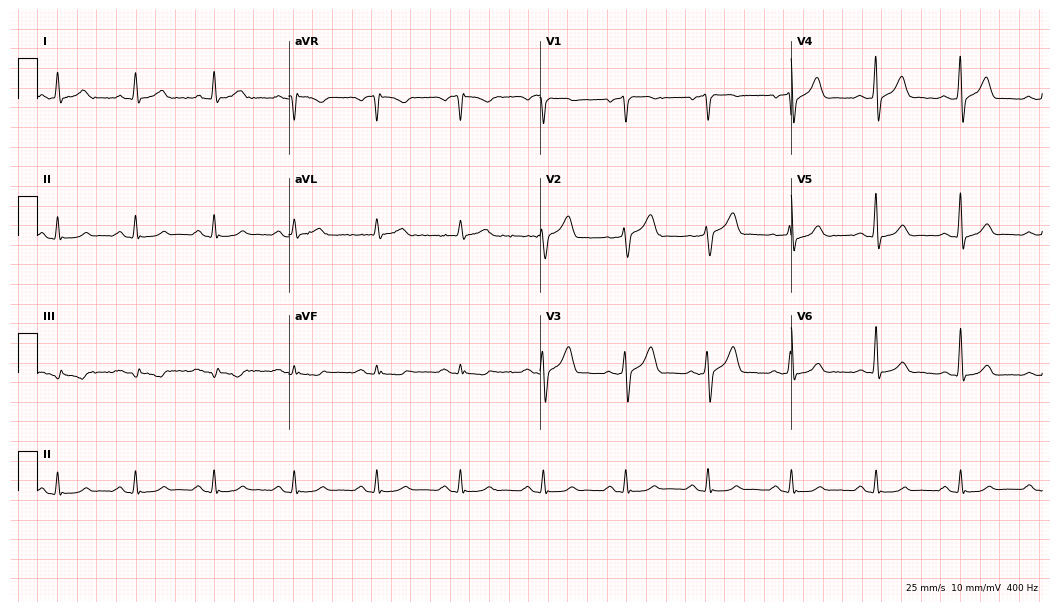
Standard 12-lead ECG recorded from a man, 65 years old. Read as a normal ECG.